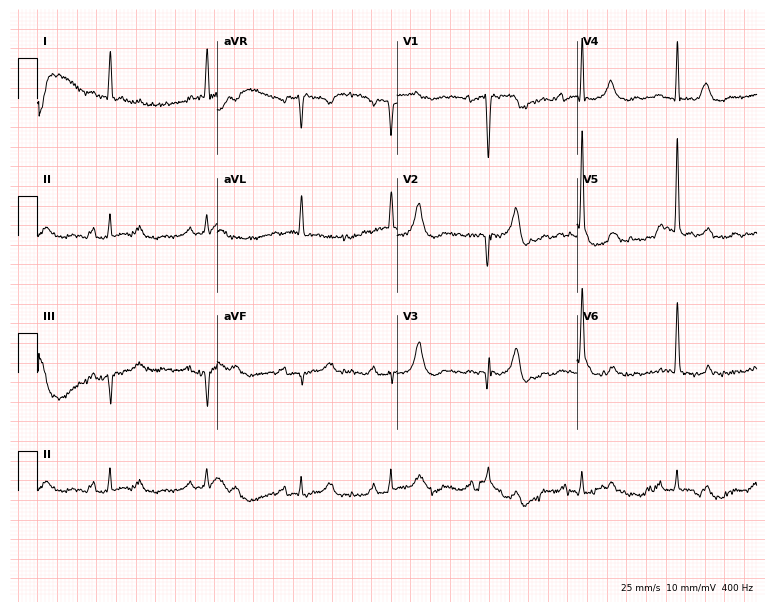
Standard 12-lead ECG recorded from a 78-year-old female (7.3-second recording at 400 Hz). None of these six findings is recorded: first-degree AV block, right bundle branch block (RBBB), left bundle branch block (LBBB), sinus bradycardia, atrial fibrillation (AF), sinus tachycardia. Only these six findings were labelled.